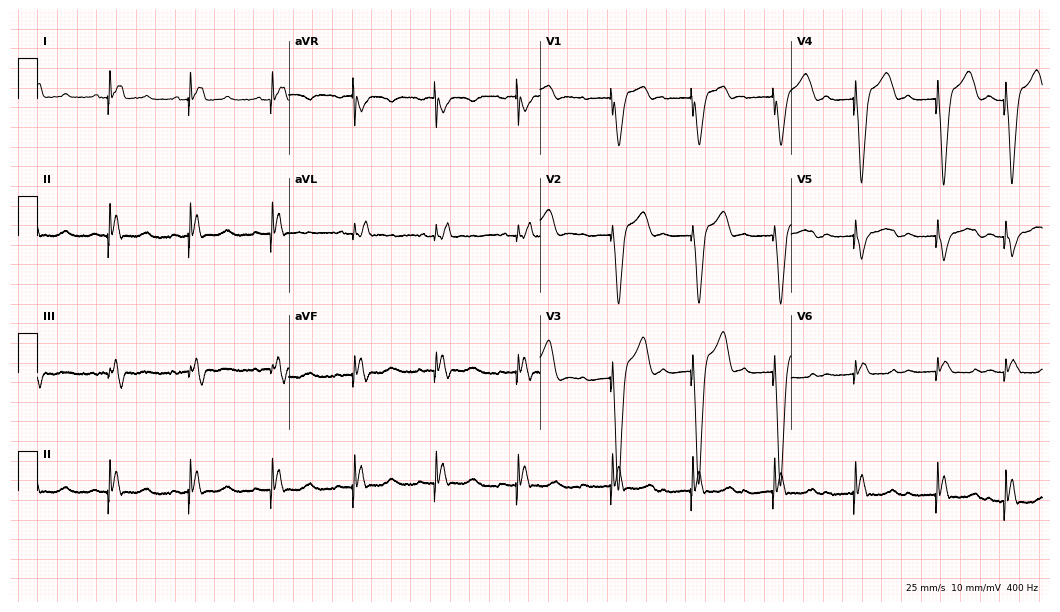
12-lead ECG (10.2-second recording at 400 Hz) from a 46-year-old woman. Screened for six findings — first-degree AV block, right bundle branch block, left bundle branch block, sinus bradycardia, atrial fibrillation, sinus tachycardia — none is recorded. Findings outside these six are not listed.